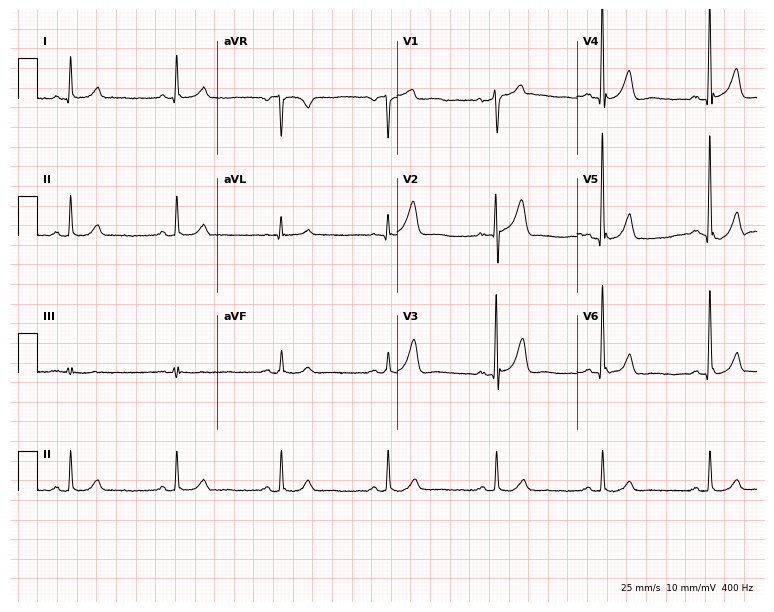
Electrocardiogram, a man, 75 years old. Of the six screened findings (first-degree AV block, right bundle branch block (RBBB), left bundle branch block (LBBB), sinus bradycardia, atrial fibrillation (AF), sinus tachycardia), none is recorded.